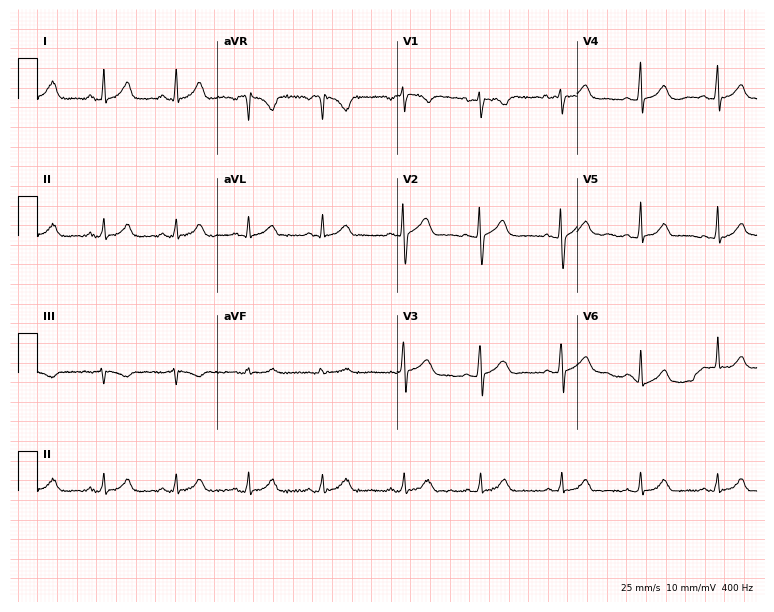
12-lead ECG from a 35-year-old female (7.3-second recording at 400 Hz). Recorded interpretation: within normal limits.